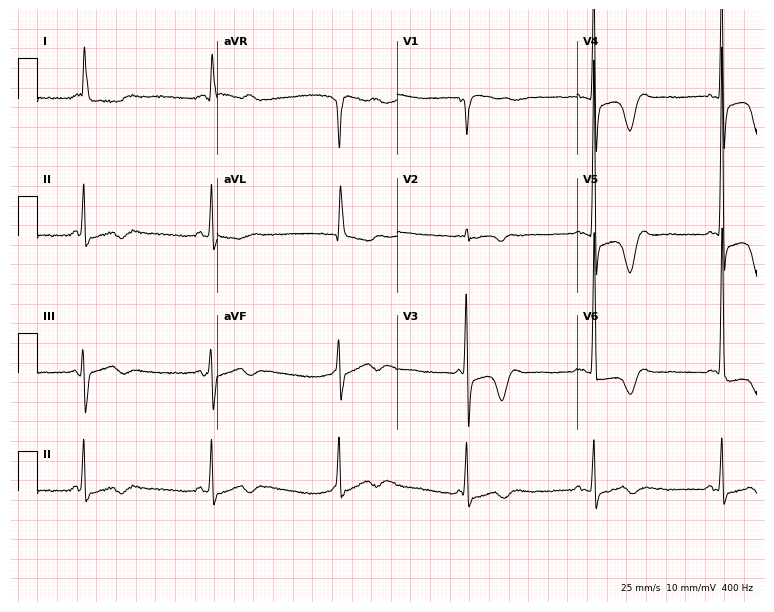
12-lead ECG from a 71-year-old female patient (7.3-second recording at 400 Hz). No first-degree AV block, right bundle branch block, left bundle branch block, sinus bradycardia, atrial fibrillation or sinus tachycardia recorded for this tracing.